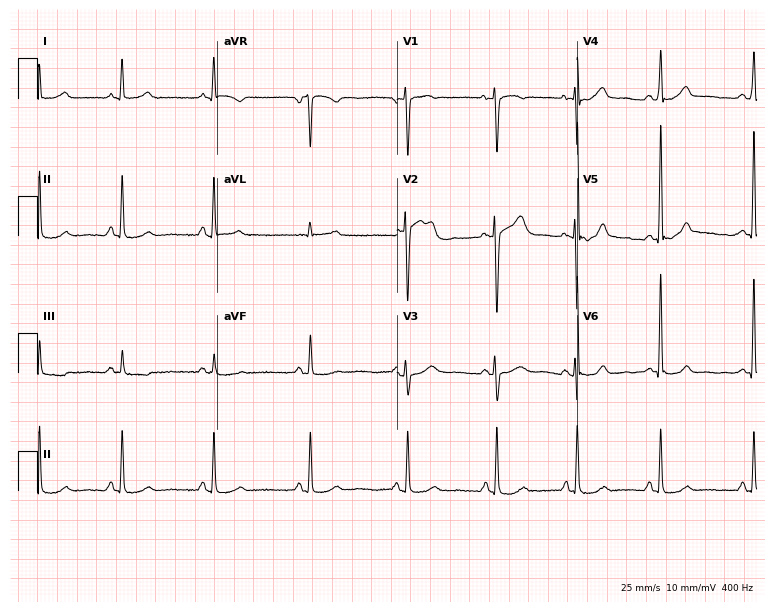
Resting 12-lead electrocardiogram. Patient: a 57-year-old female. Read as a normal ECG.